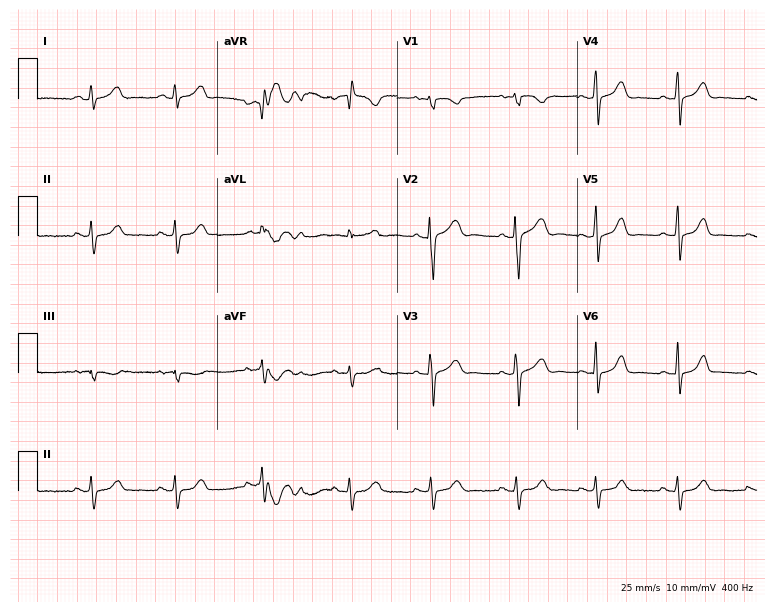
Resting 12-lead electrocardiogram. Patient: a 20-year-old female. Read as a normal ECG.